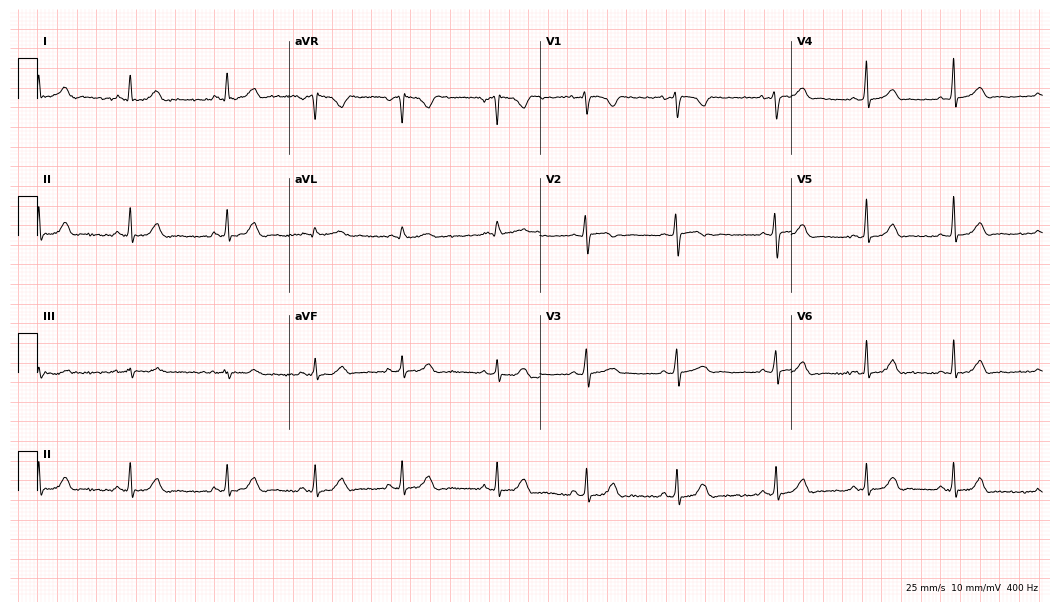
Standard 12-lead ECG recorded from a 19-year-old woman. Read as a normal ECG.